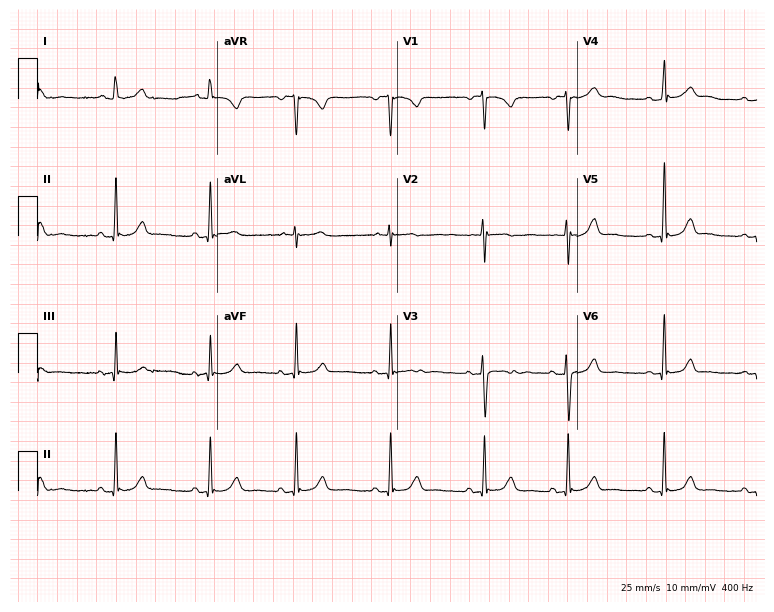
Standard 12-lead ECG recorded from a 19-year-old woman (7.3-second recording at 400 Hz). Read as a normal ECG.